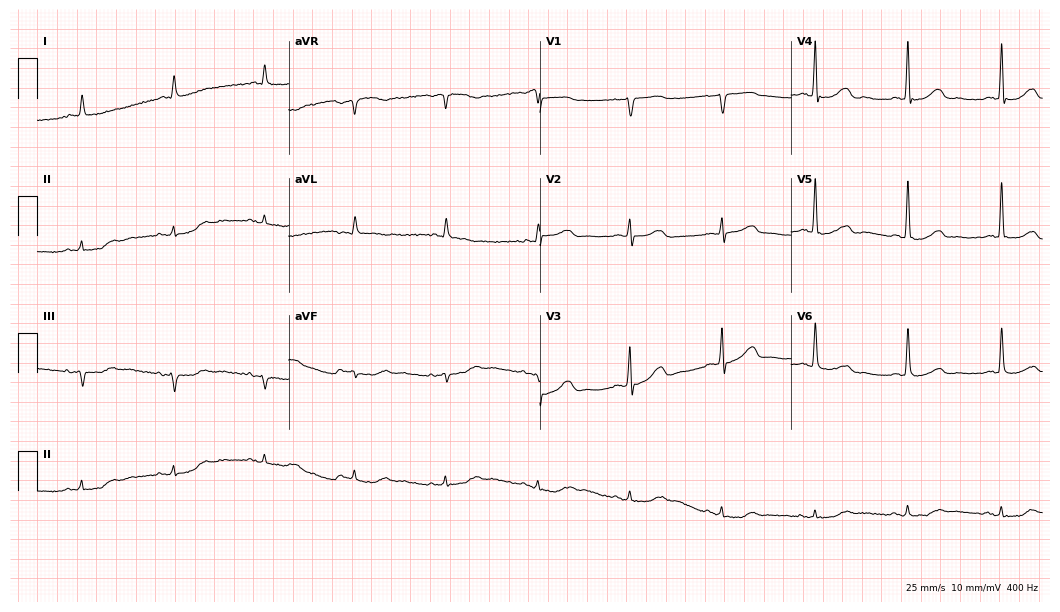
Electrocardiogram (10.2-second recording at 400 Hz), an 83-year-old male patient. Overall reading on record: normal ECG.